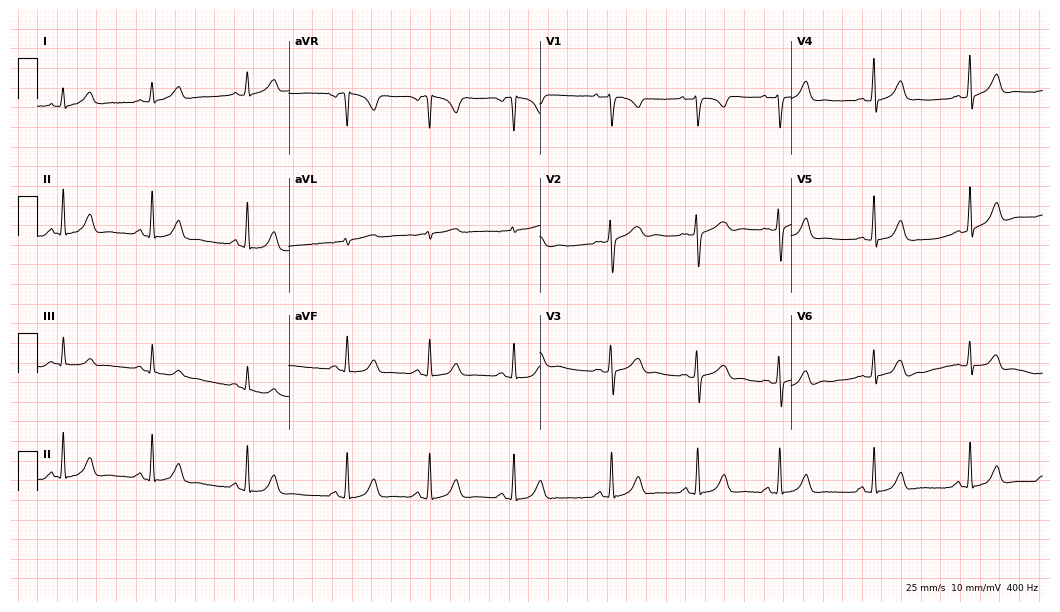
12-lead ECG from a 20-year-old female. Labelled as a normal ECG.